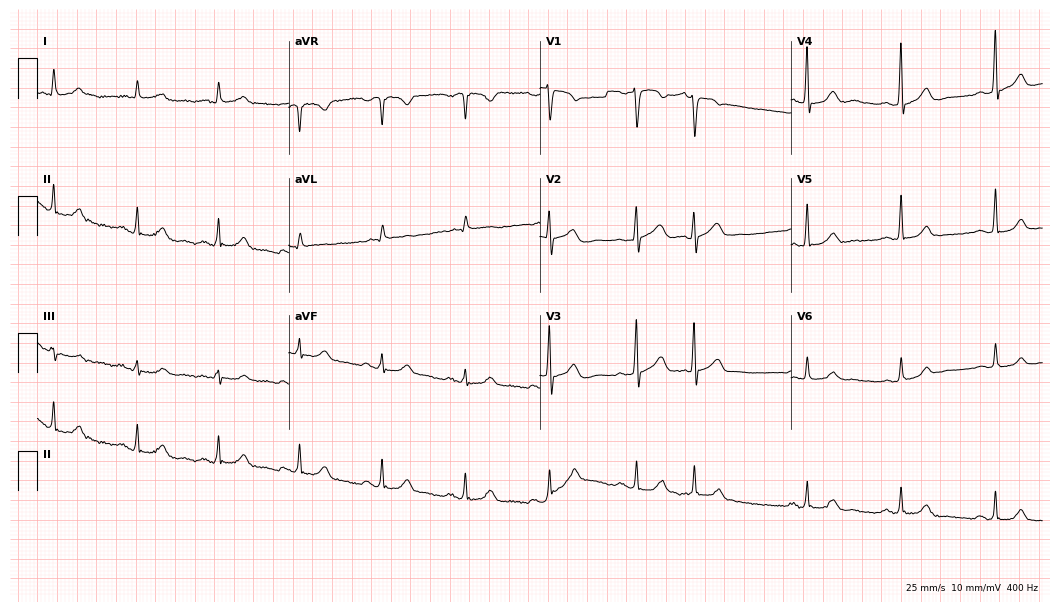
12-lead ECG from a 78-year-old man. Labelled as a normal ECG.